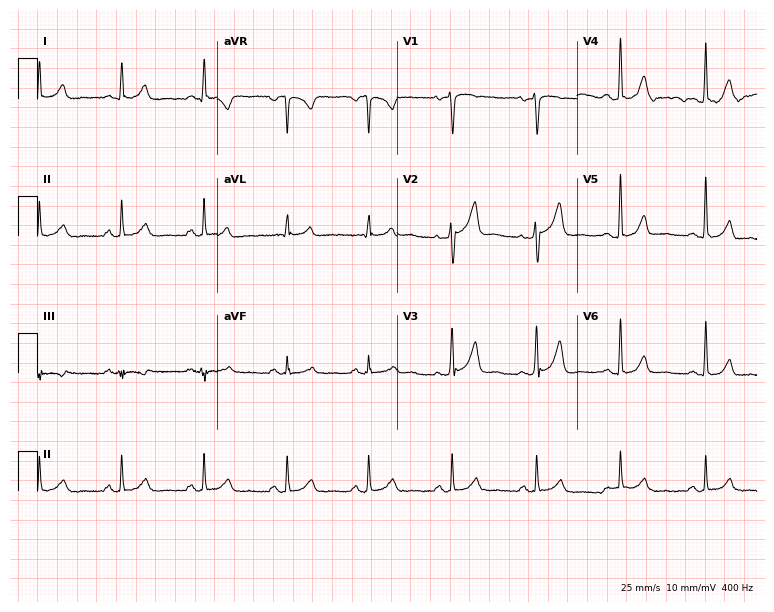
ECG — a 56-year-old man. Screened for six findings — first-degree AV block, right bundle branch block (RBBB), left bundle branch block (LBBB), sinus bradycardia, atrial fibrillation (AF), sinus tachycardia — none is recorded. Other findings, if any, are not listed.